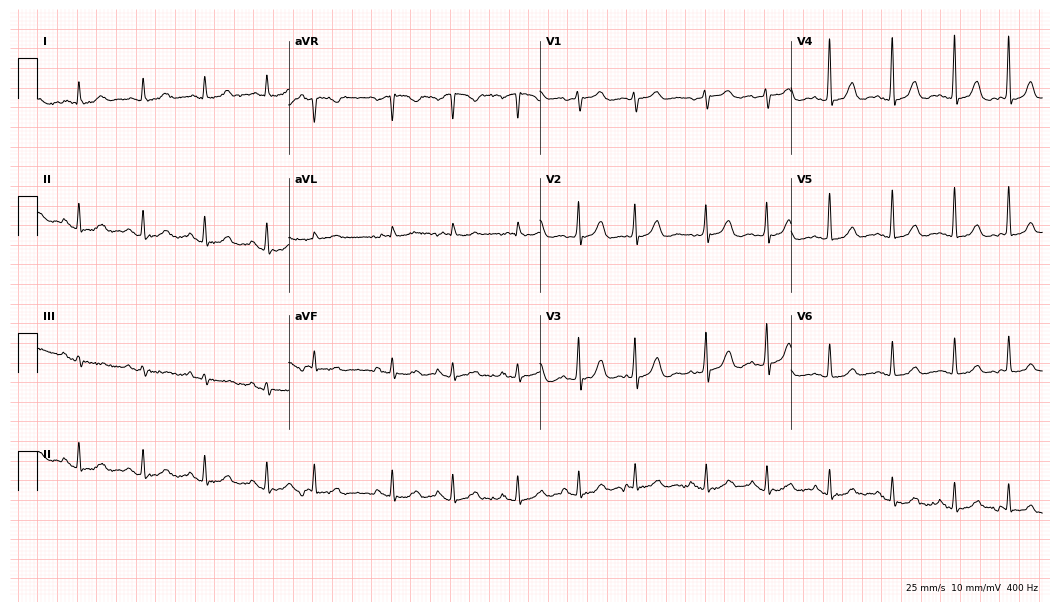
12-lead ECG from a 76-year-old woman (10.2-second recording at 400 Hz). Recorded interpretation: within normal limits.